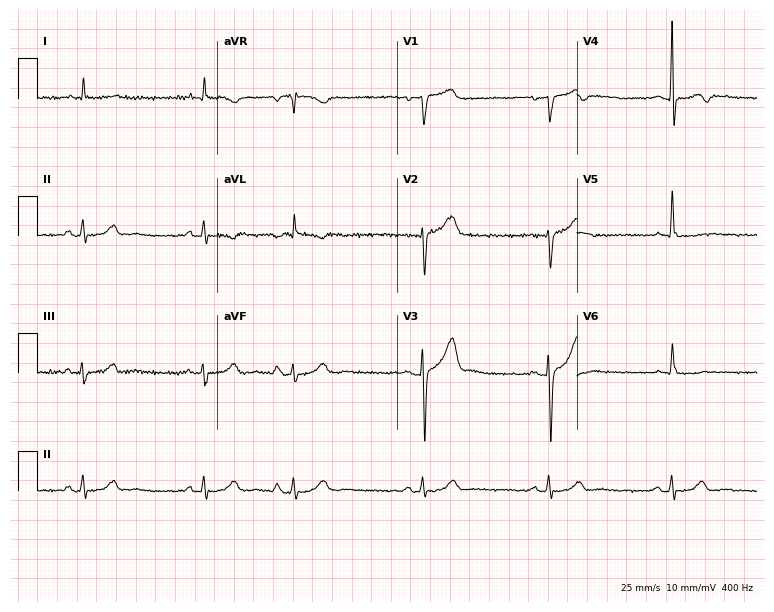
Electrocardiogram, a male patient, 72 years old. Interpretation includes sinus bradycardia (a sinus rate of 50 beats per minute or less).